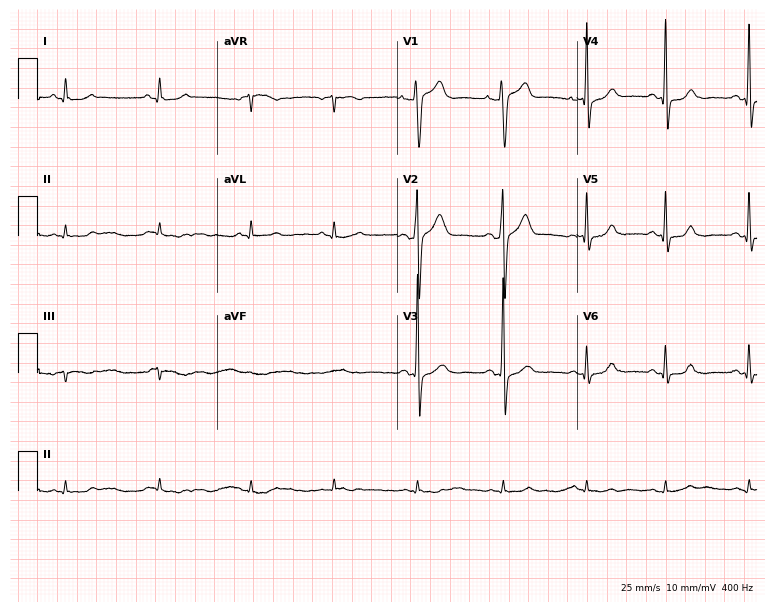
Electrocardiogram, a man, 30 years old. Of the six screened findings (first-degree AV block, right bundle branch block, left bundle branch block, sinus bradycardia, atrial fibrillation, sinus tachycardia), none is recorded.